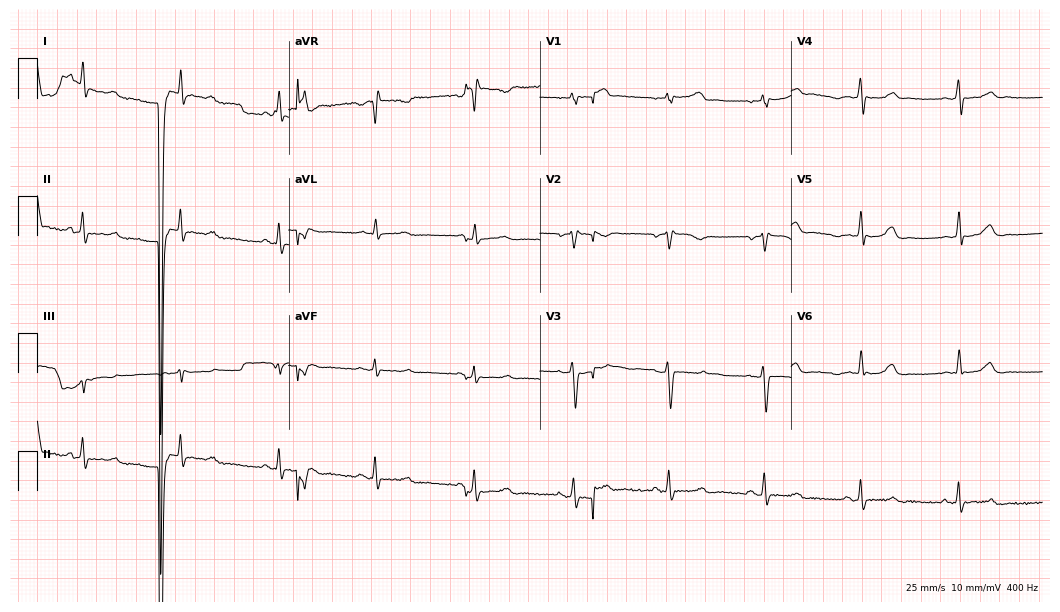
12-lead ECG (10.2-second recording at 400 Hz) from a 43-year-old female patient. Screened for six findings — first-degree AV block, right bundle branch block (RBBB), left bundle branch block (LBBB), sinus bradycardia, atrial fibrillation (AF), sinus tachycardia — none is recorded. Findings outside these six are not listed.